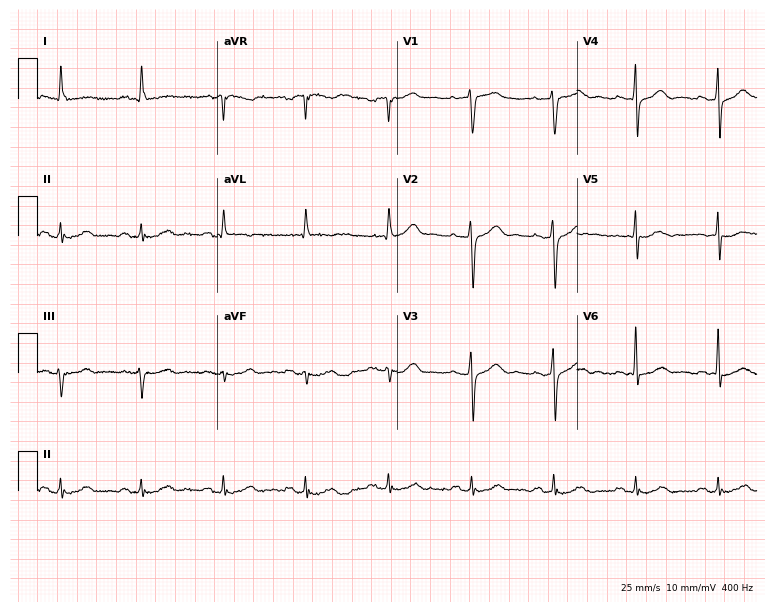
Electrocardiogram (7.3-second recording at 400 Hz), a female patient, 83 years old. Of the six screened findings (first-degree AV block, right bundle branch block, left bundle branch block, sinus bradycardia, atrial fibrillation, sinus tachycardia), none is recorded.